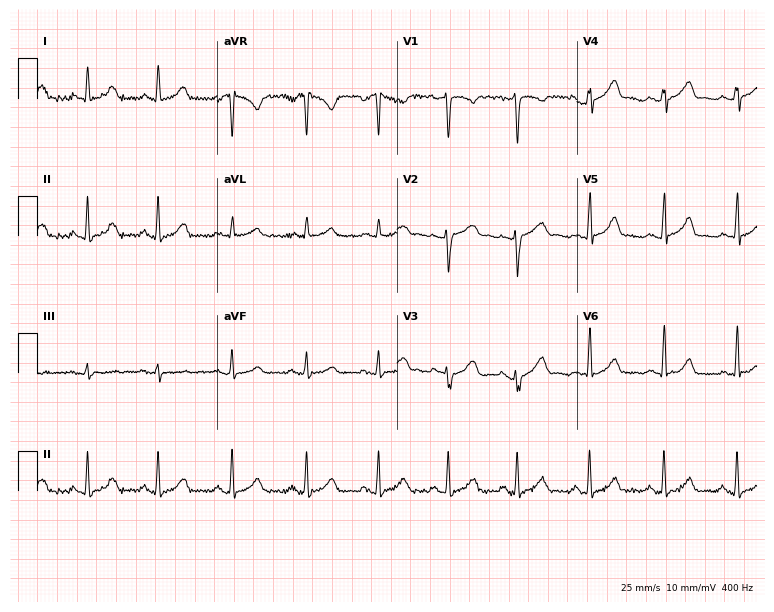
Resting 12-lead electrocardiogram (7.3-second recording at 400 Hz). Patient: a 35-year-old female. Read as a normal ECG.